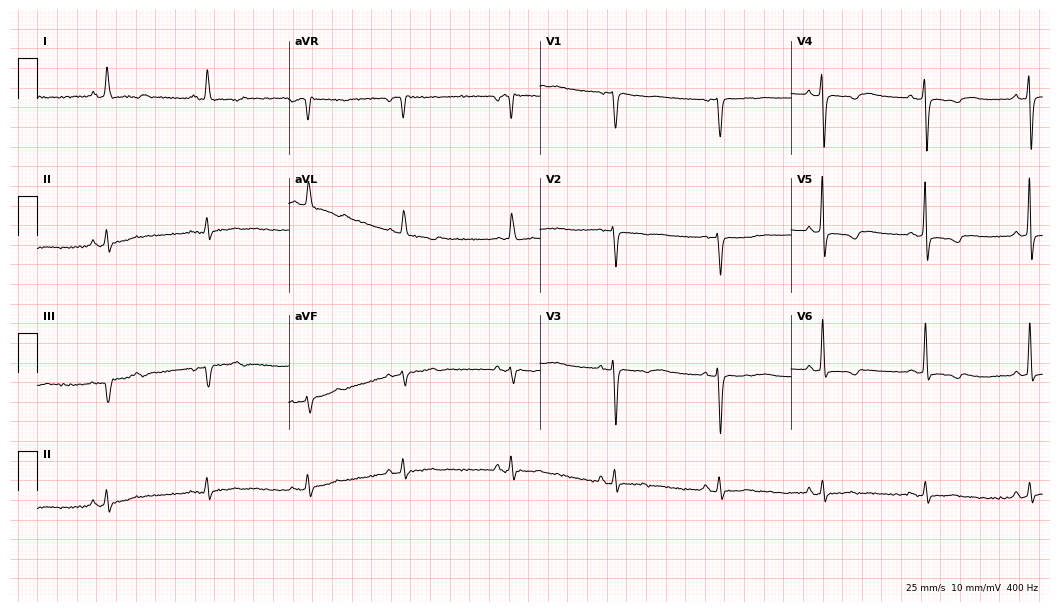
Electrocardiogram, a woman, 76 years old. Of the six screened findings (first-degree AV block, right bundle branch block (RBBB), left bundle branch block (LBBB), sinus bradycardia, atrial fibrillation (AF), sinus tachycardia), none is recorded. Only these six findings were labelled.